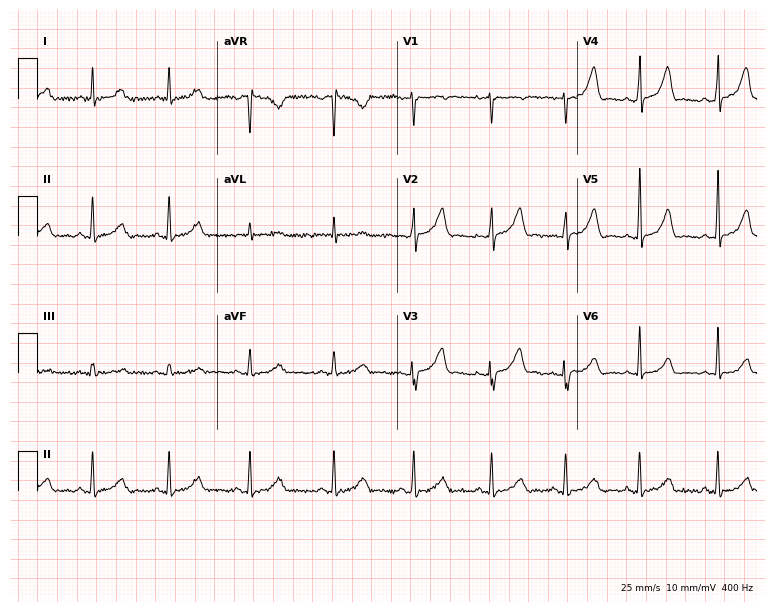
12-lead ECG from a female patient, 40 years old. Recorded interpretation: within normal limits.